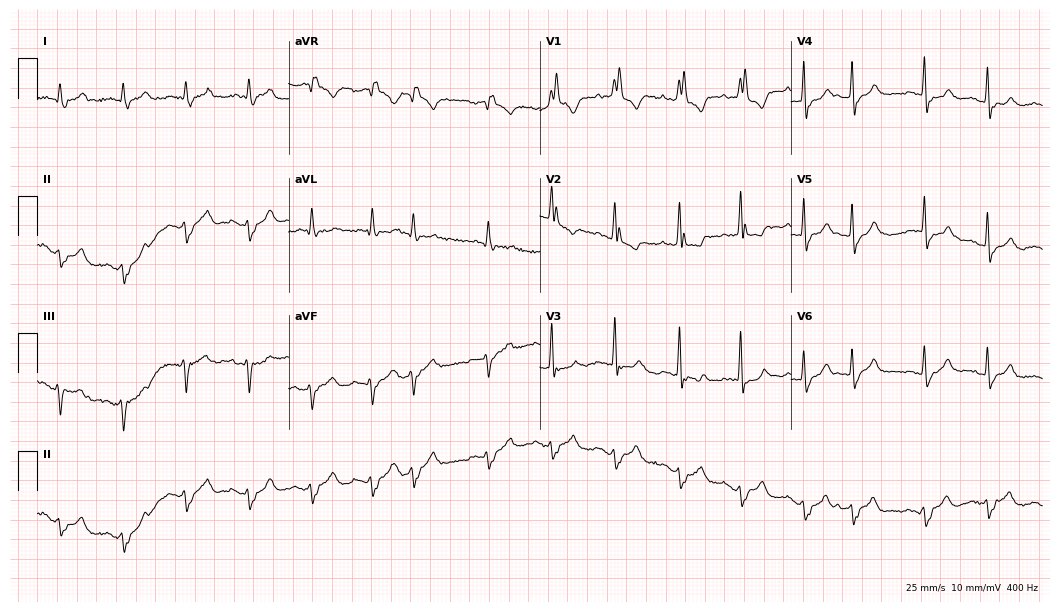
12-lead ECG from an 83-year-old man (10.2-second recording at 400 Hz). Shows right bundle branch block.